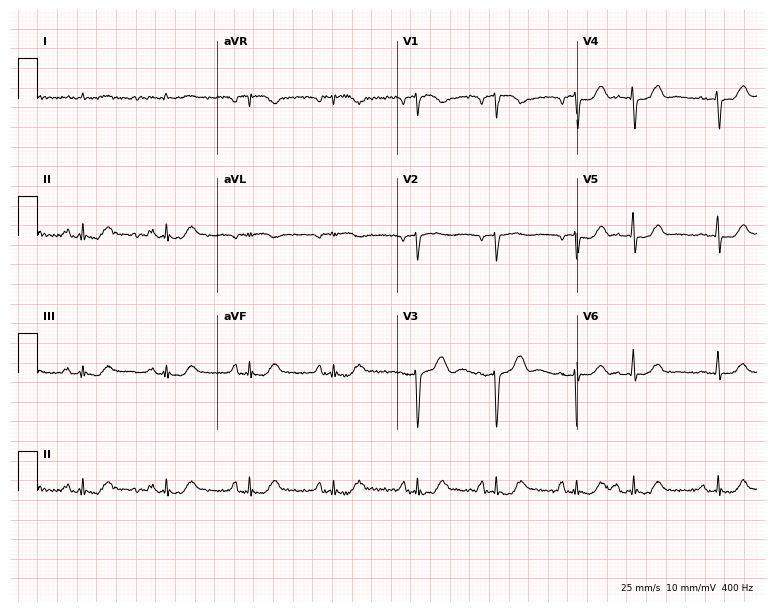
ECG — a male, 76 years old. Screened for six findings — first-degree AV block, right bundle branch block, left bundle branch block, sinus bradycardia, atrial fibrillation, sinus tachycardia — none is recorded. Only these six findings were labelled.